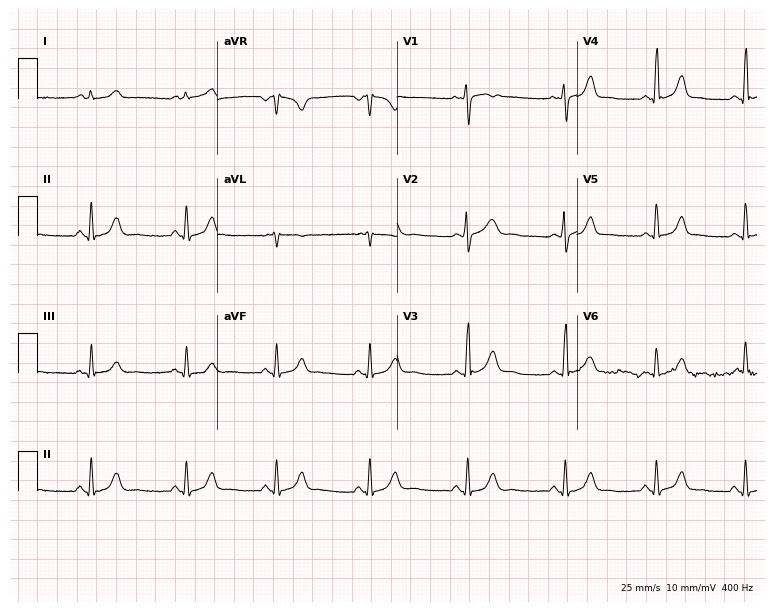
Electrocardiogram (7.3-second recording at 400 Hz), a woman, 23 years old. Of the six screened findings (first-degree AV block, right bundle branch block, left bundle branch block, sinus bradycardia, atrial fibrillation, sinus tachycardia), none is recorded. Other findings, if any, are not listed.